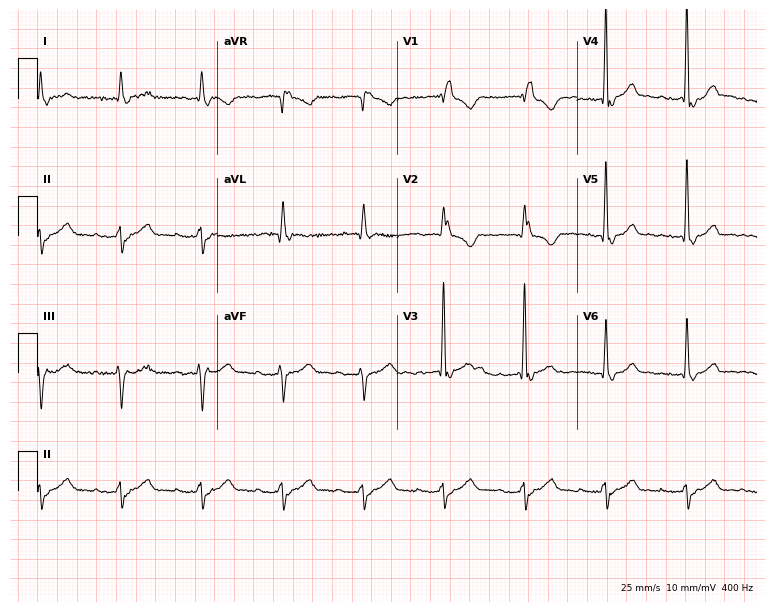
12-lead ECG from a male patient, 65 years old. No first-degree AV block, right bundle branch block, left bundle branch block, sinus bradycardia, atrial fibrillation or sinus tachycardia recorded for this tracing. Only these six findings were labelled.